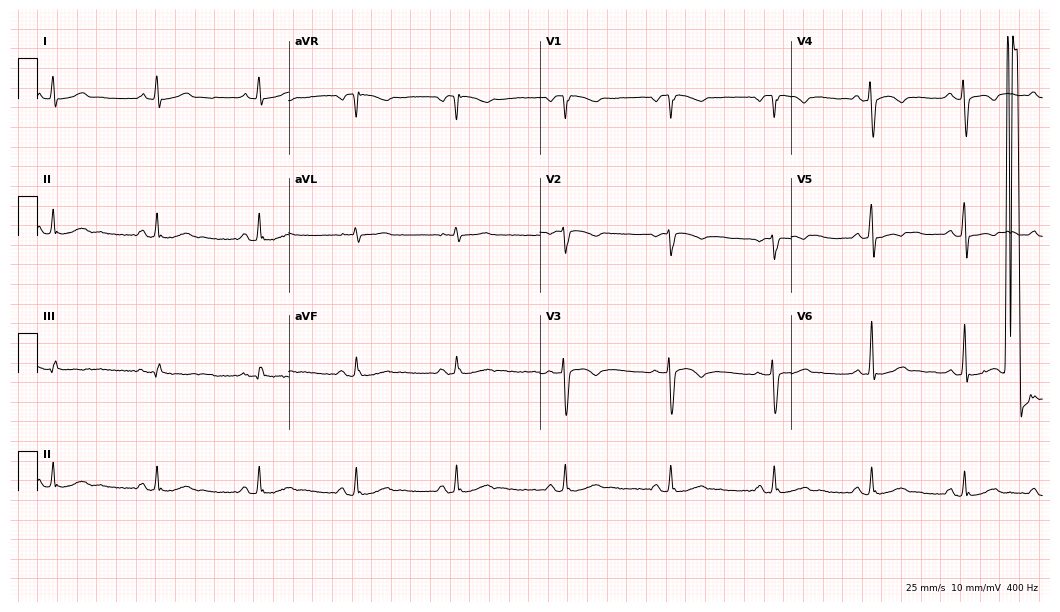
12-lead ECG from a male, 55 years old. Screened for six findings — first-degree AV block, right bundle branch block (RBBB), left bundle branch block (LBBB), sinus bradycardia, atrial fibrillation (AF), sinus tachycardia — none is recorded.